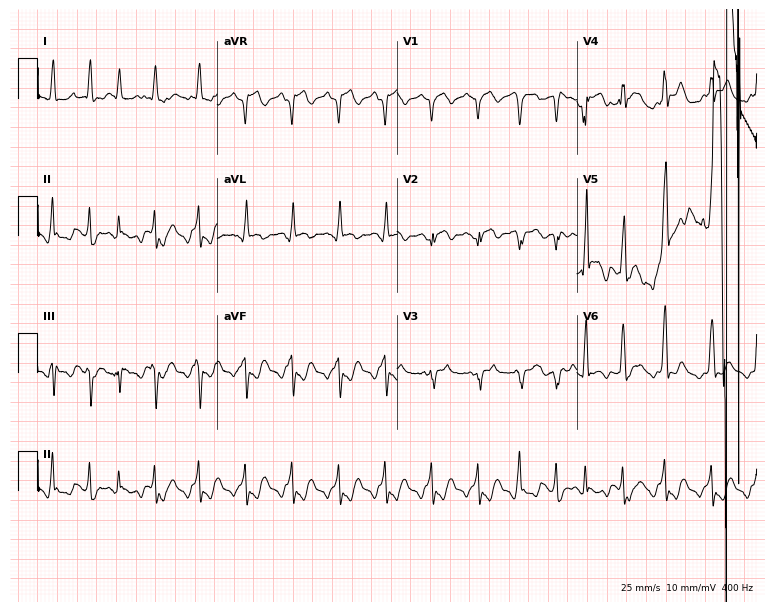
Standard 12-lead ECG recorded from a 75-year-old male. None of these six findings is recorded: first-degree AV block, right bundle branch block, left bundle branch block, sinus bradycardia, atrial fibrillation, sinus tachycardia. Findings outside these six are not listed.